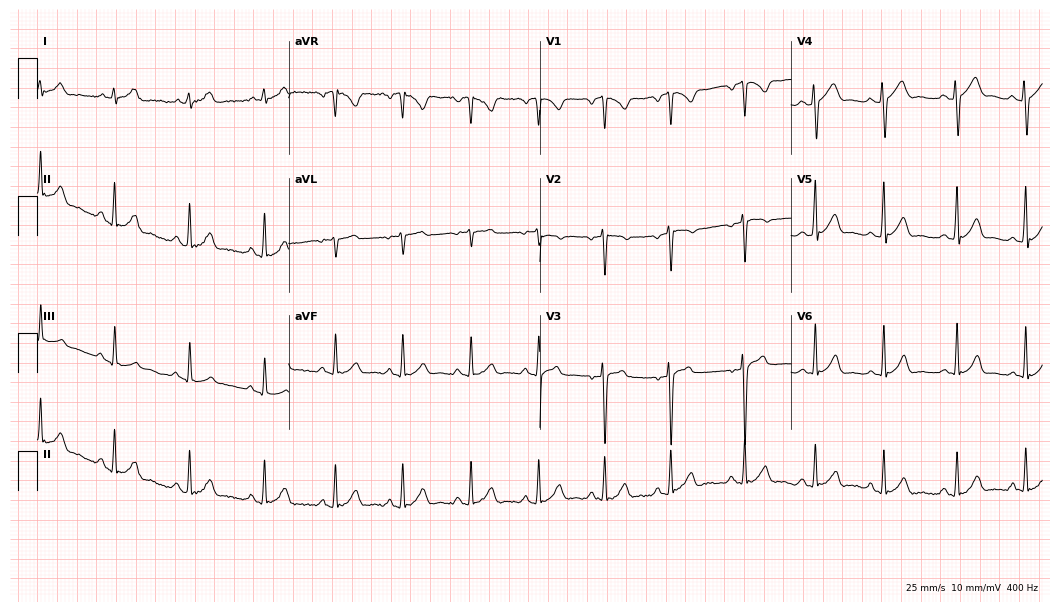
Standard 12-lead ECG recorded from an 18-year-old male patient. Read as a normal ECG.